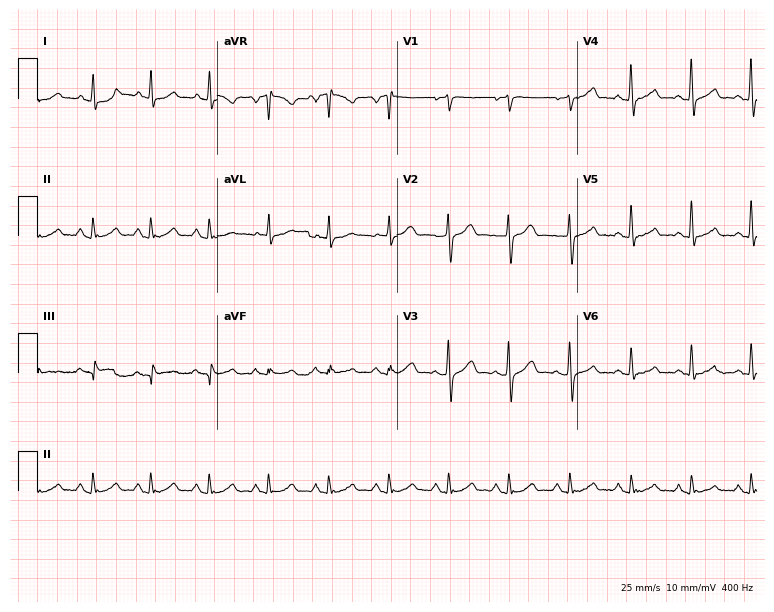
12-lead ECG (7.3-second recording at 400 Hz) from a 35-year-old man. Labelled as a normal ECG.